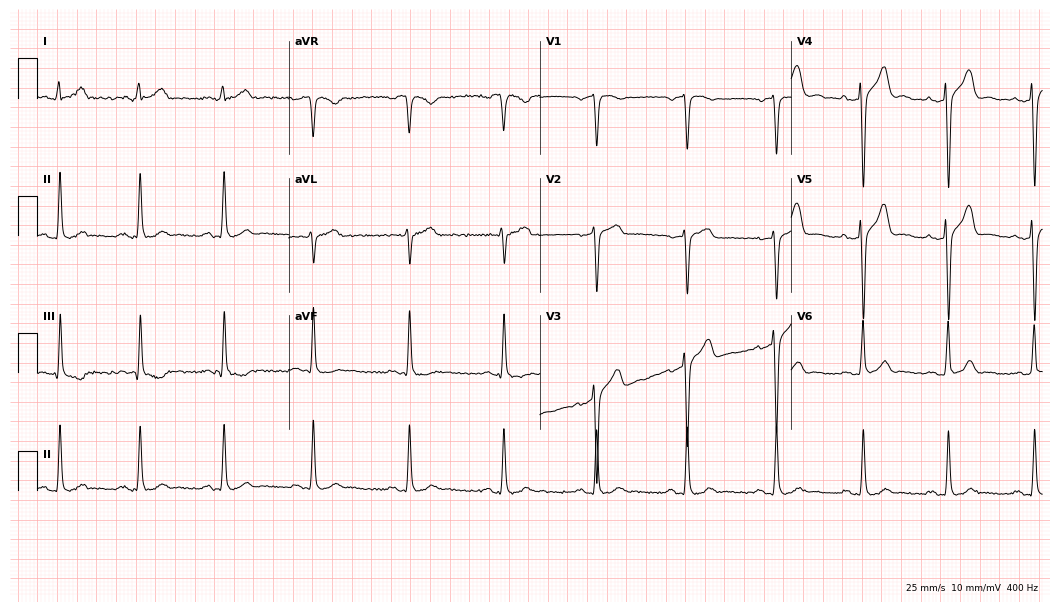
12-lead ECG from a male, 35 years old. Screened for six findings — first-degree AV block, right bundle branch block, left bundle branch block, sinus bradycardia, atrial fibrillation, sinus tachycardia — none is recorded.